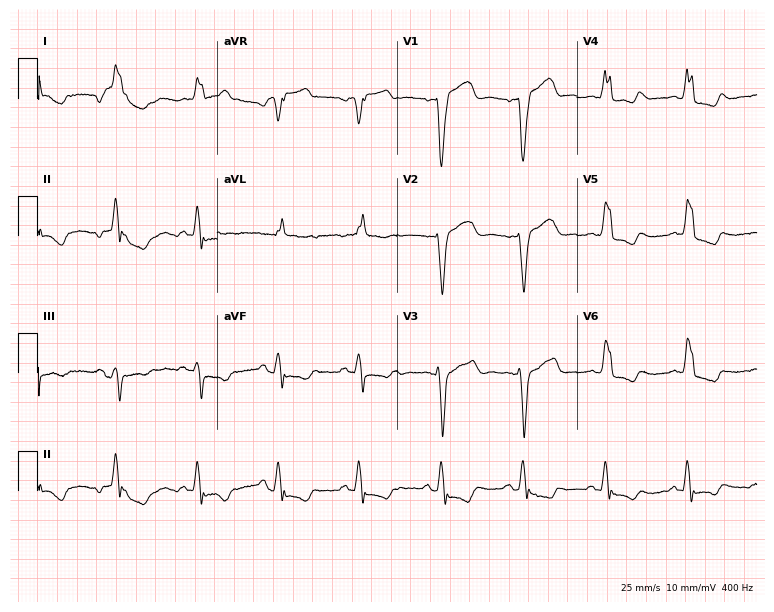
Standard 12-lead ECG recorded from a woman, 85 years old. The tracing shows left bundle branch block.